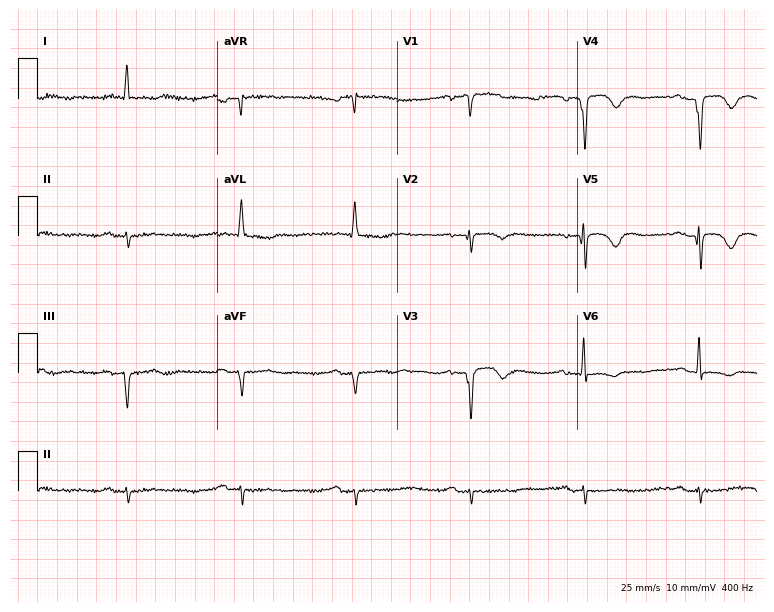
Standard 12-lead ECG recorded from a man, 80 years old. The tracing shows first-degree AV block.